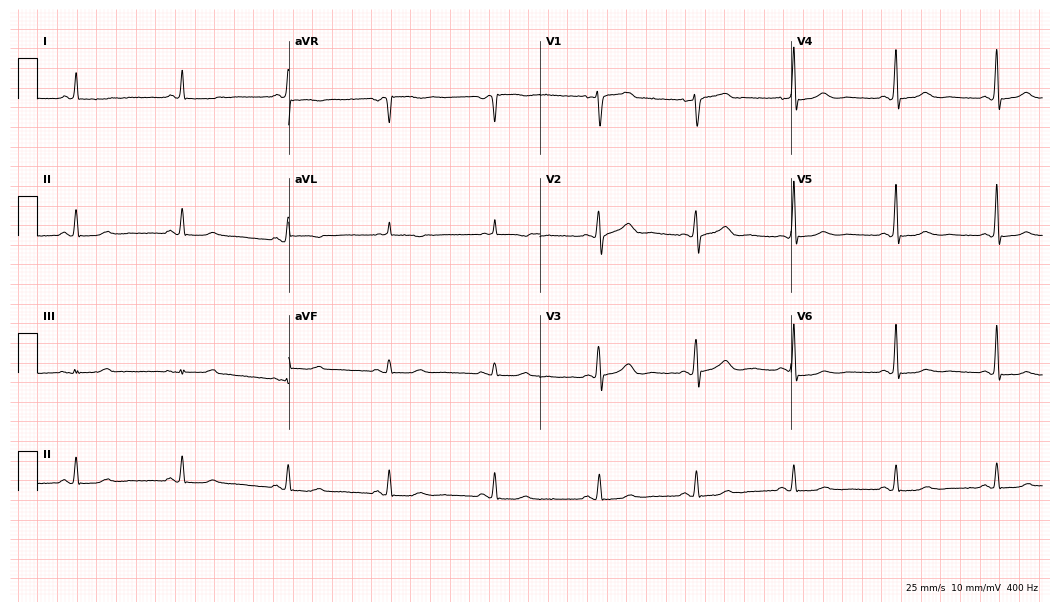
12-lead ECG from a female, 56 years old. No first-degree AV block, right bundle branch block, left bundle branch block, sinus bradycardia, atrial fibrillation or sinus tachycardia recorded for this tracing. Only these six findings were labelled.